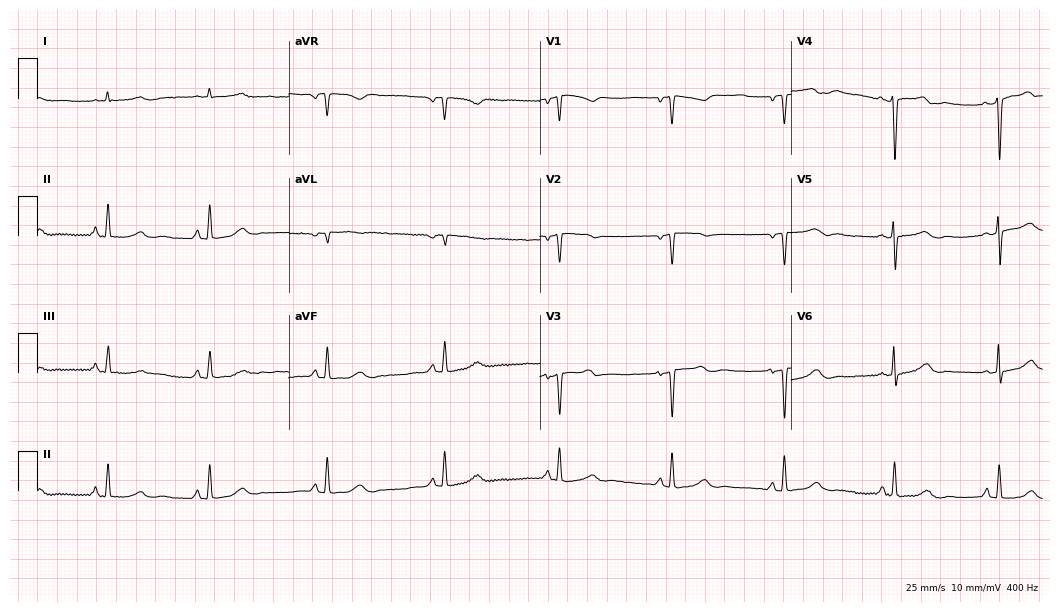
12-lead ECG from a female patient, 68 years old. Screened for six findings — first-degree AV block, right bundle branch block, left bundle branch block, sinus bradycardia, atrial fibrillation, sinus tachycardia — none is recorded.